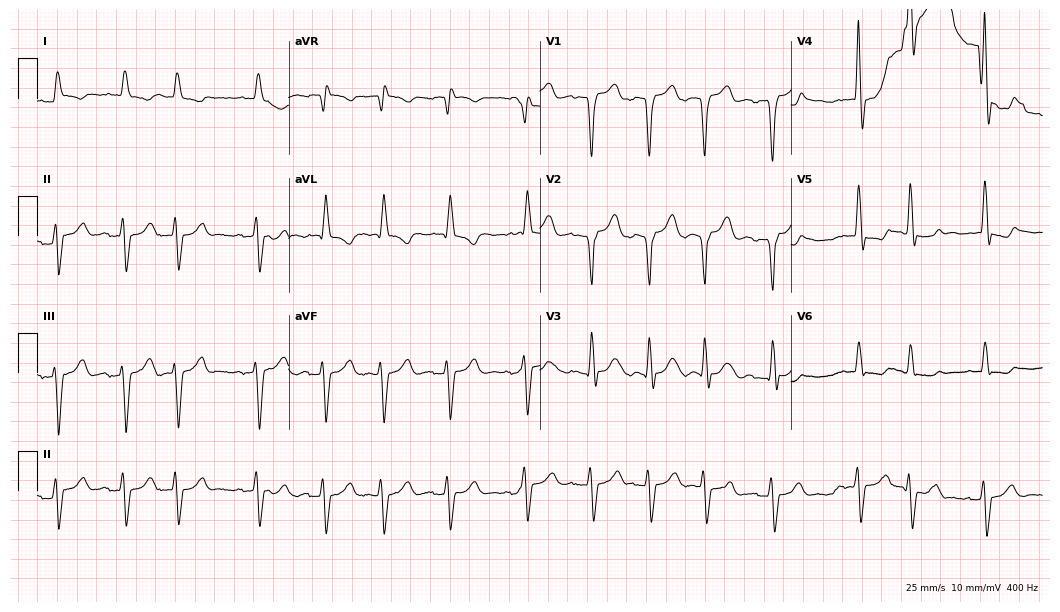
12-lead ECG from a woman, 78 years old (10.2-second recording at 400 Hz). Shows left bundle branch block (LBBB).